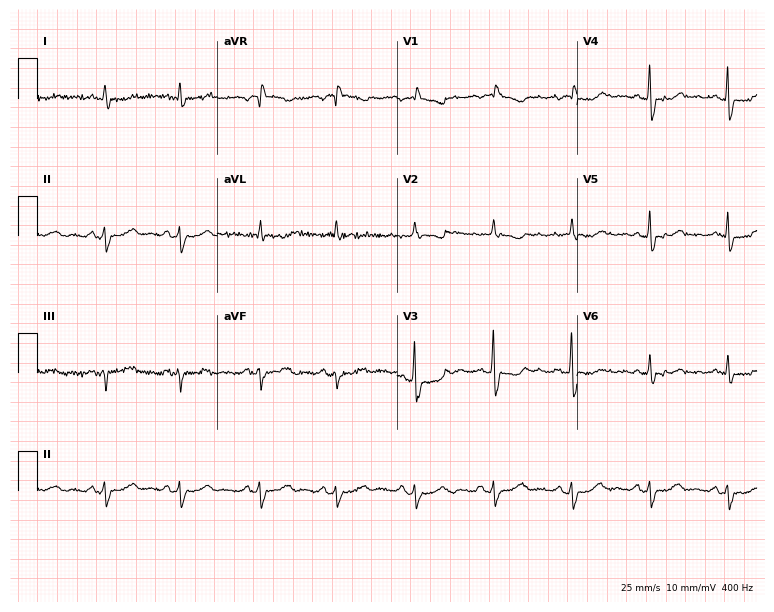
Electrocardiogram (7.3-second recording at 400 Hz), a female patient, 71 years old. Of the six screened findings (first-degree AV block, right bundle branch block, left bundle branch block, sinus bradycardia, atrial fibrillation, sinus tachycardia), none is recorded.